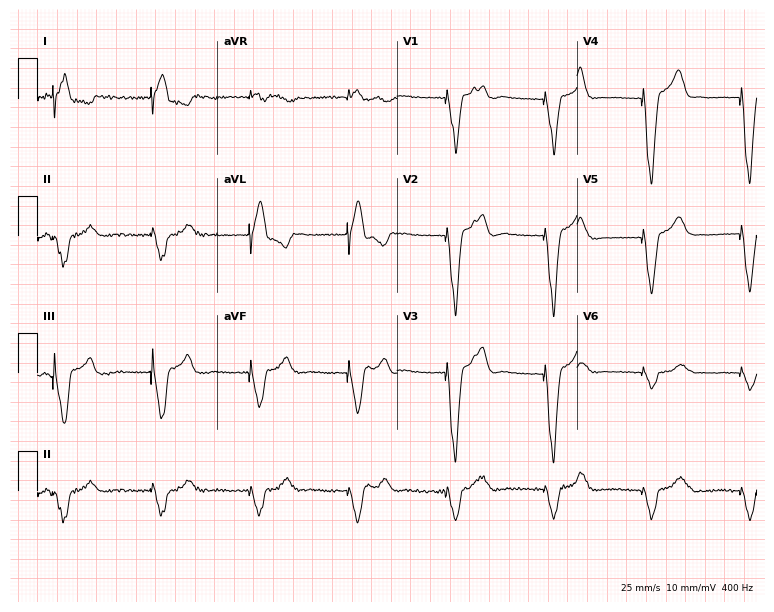
ECG — a woman, 78 years old. Screened for six findings — first-degree AV block, right bundle branch block (RBBB), left bundle branch block (LBBB), sinus bradycardia, atrial fibrillation (AF), sinus tachycardia — none is recorded.